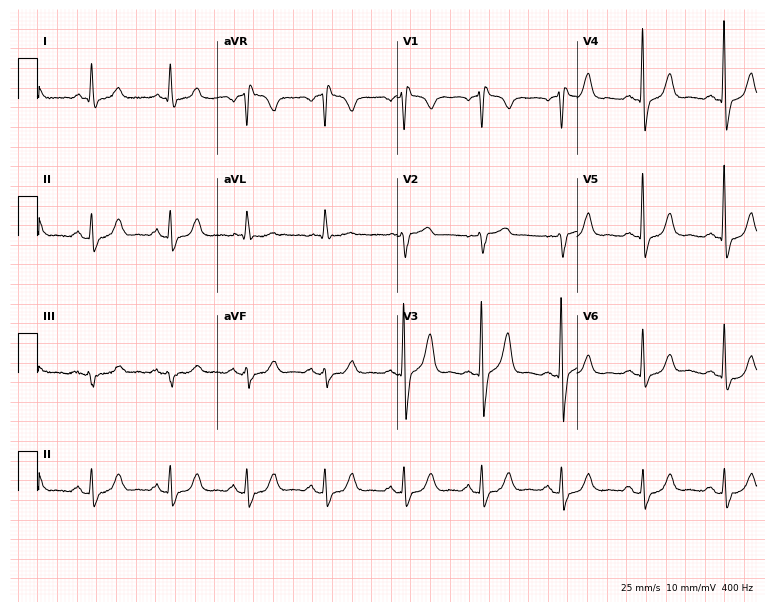
ECG (7.3-second recording at 400 Hz) — a 67-year-old male patient. Screened for six findings — first-degree AV block, right bundle branch block, left bundle branch block, sinus bradycardia, atrial fibrillation, sinus tachycardia — none is recorded.